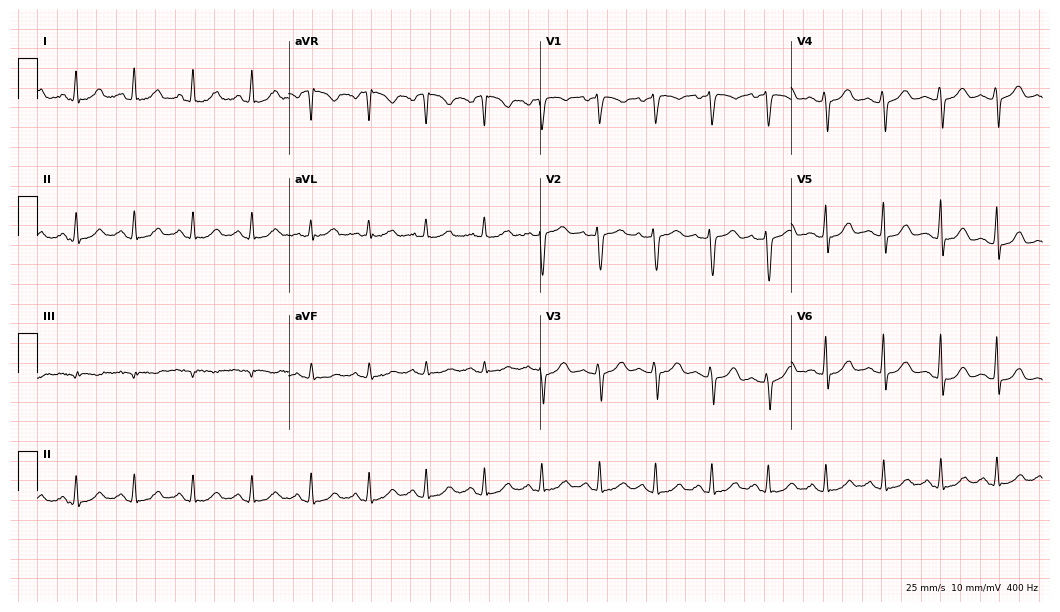
12-lead ECG from a 47-year-old female patient (10.2-second recording at 400 Hz). Shows sinus tachycardia (a sinus rate of 100 beats per minute or more).